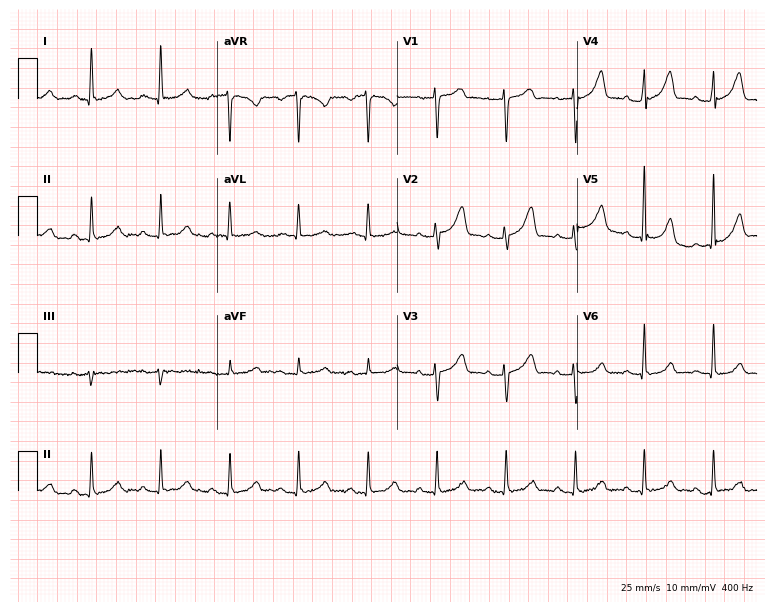
Electrocardiogram, a female patient, 54 years old. Overall reading on record: normal ECG.